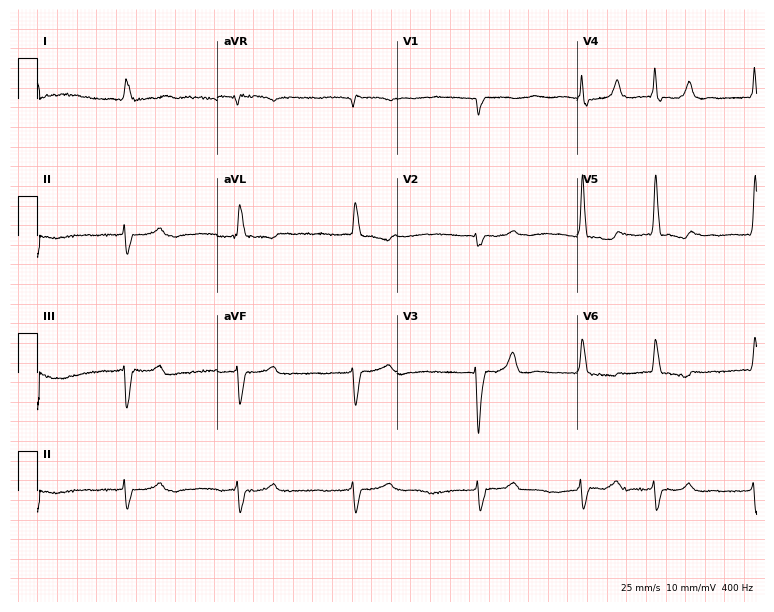
Resting 12-lead electrocardiogram (7.3-second recording at 400 Hz). Patient: a female, 83 years old. The tracing shows atrial fibrillation.